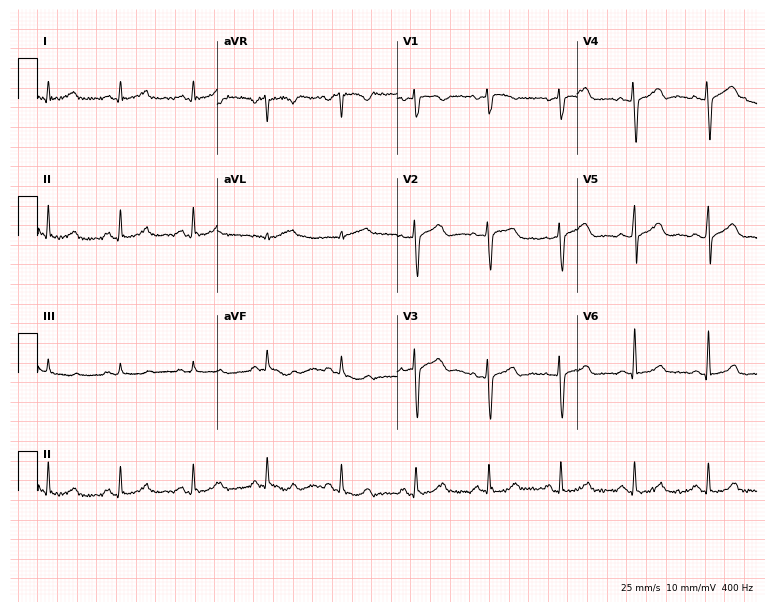
Electrocardiogram (7.3-second recording at 400 Hz), a 40-year-old female. Overall reading on record: normal ECG.